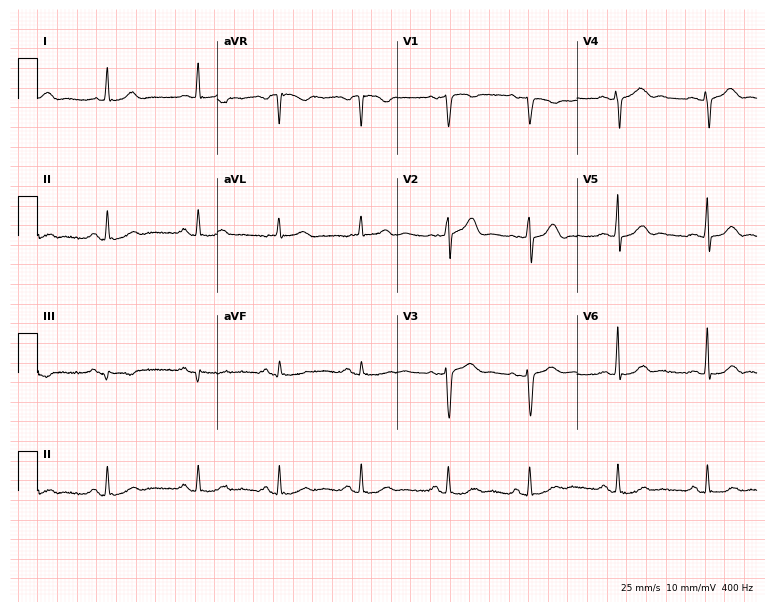
ECG — a 54-year-old woman. Labelled as a normal ECG.